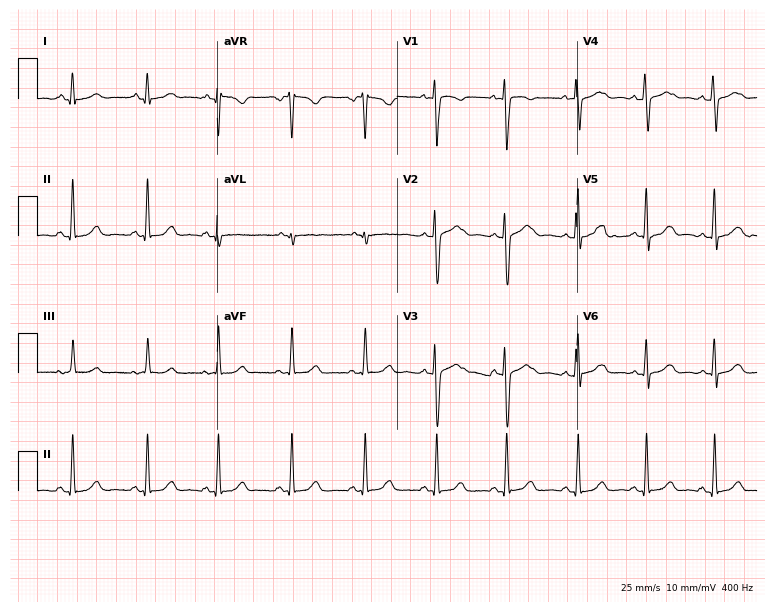
ECG — a female patient, 22 years old. Labelled as a normal ECG.